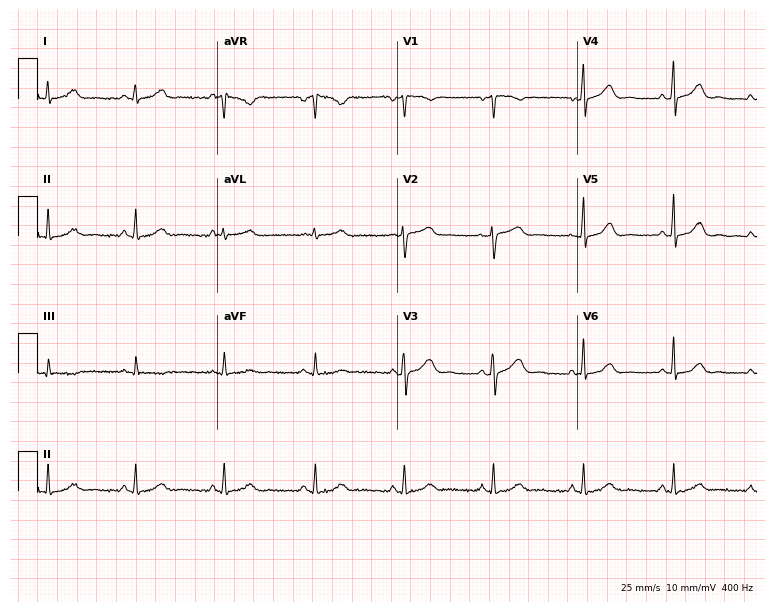
Resting 12-lead electrocardiogram. Patient: a female, 46 years old. Read as a normal ECG.